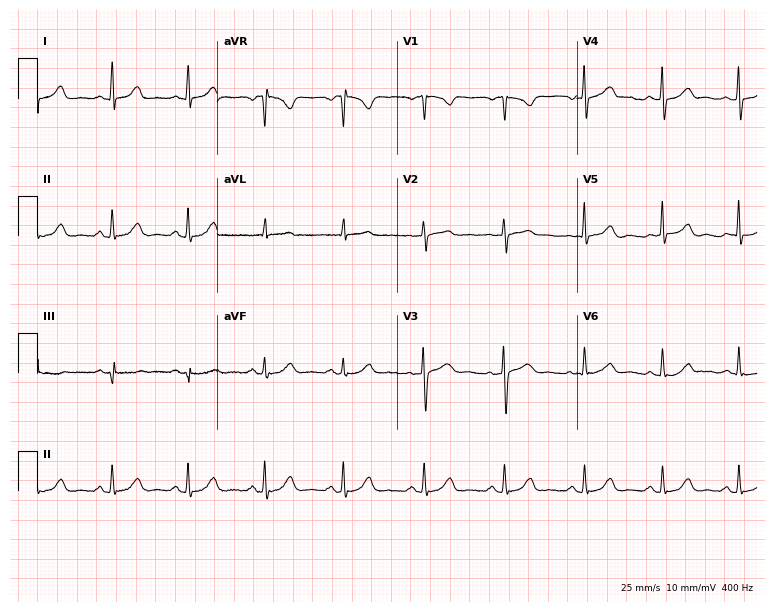
Resting 12-lead electrocardiogram. Patient: a female, 50 years old. Read as a normal ECG.